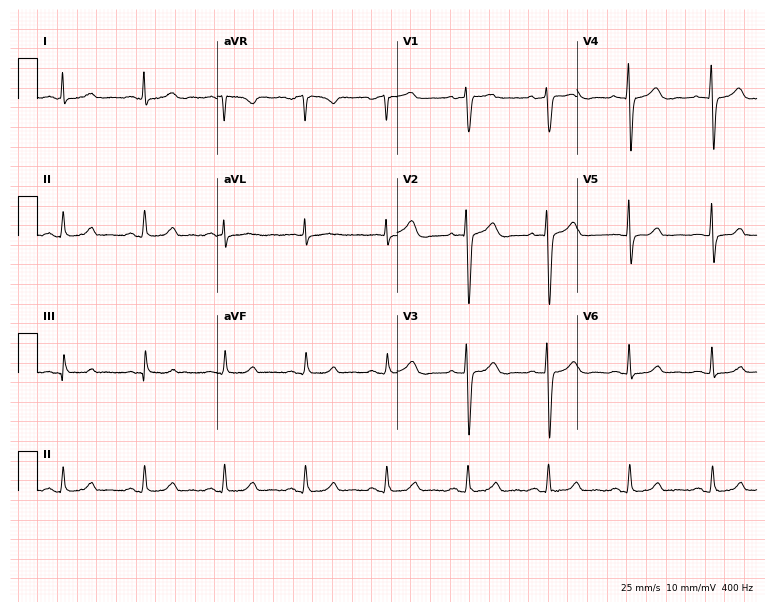
Standard 12-lead ECG recorded from a 65-year-old woman. Read as a normal ECG.